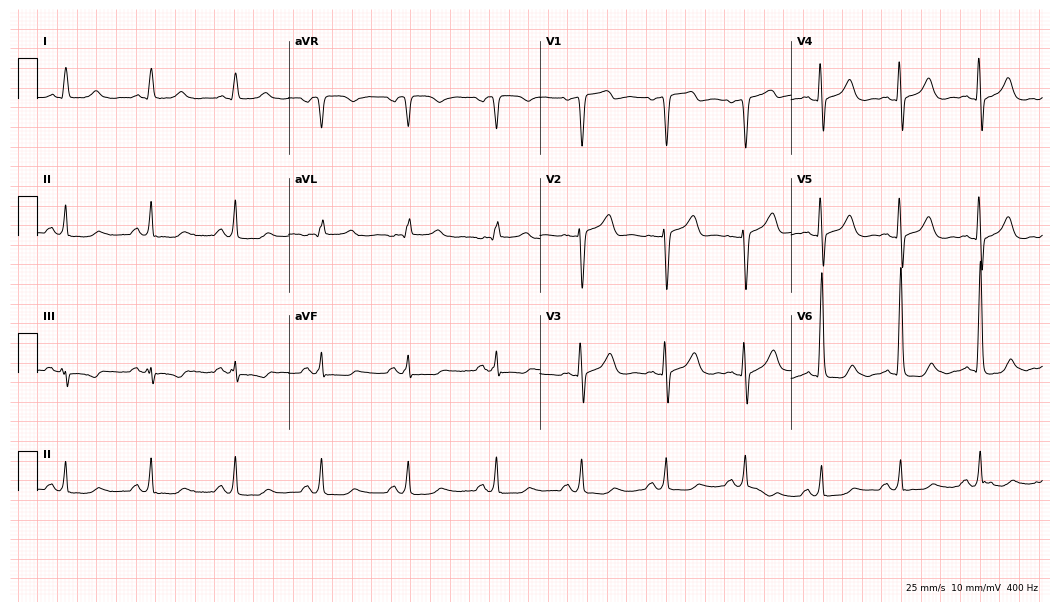
Resting 12-lead electrocardiogram (10.2-second recording at 400 Hz). Patient: a 62-year-old man. None of these six findings is recorded: first-degree AV block, right bundle branch block (RBBB), left bundle branch block (LBBB), sinus bradycardia, atrial fibrillation (AF), sinus tachycardia.